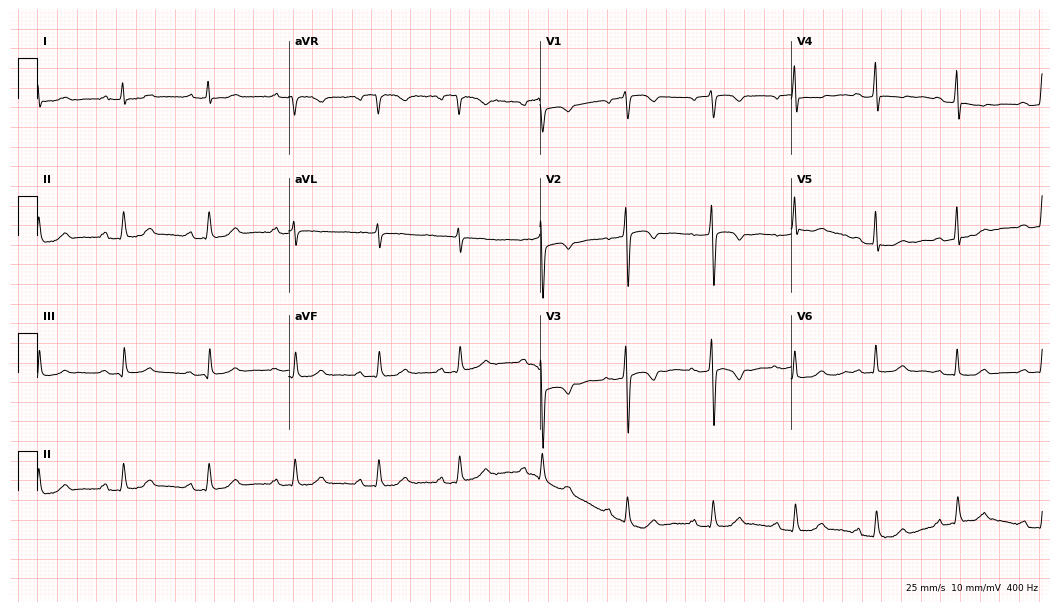
Standard 12-lead ECG recorded from a female, 64 years old (10.2-second recording at 400 Hz). None of these six findings is recorded: first-degree AV block, right bundle branch block, left bundle branch block, sinus bradycardia, atrial fibrillation, sinus tachycardia. Other findings, if any, are not listed.